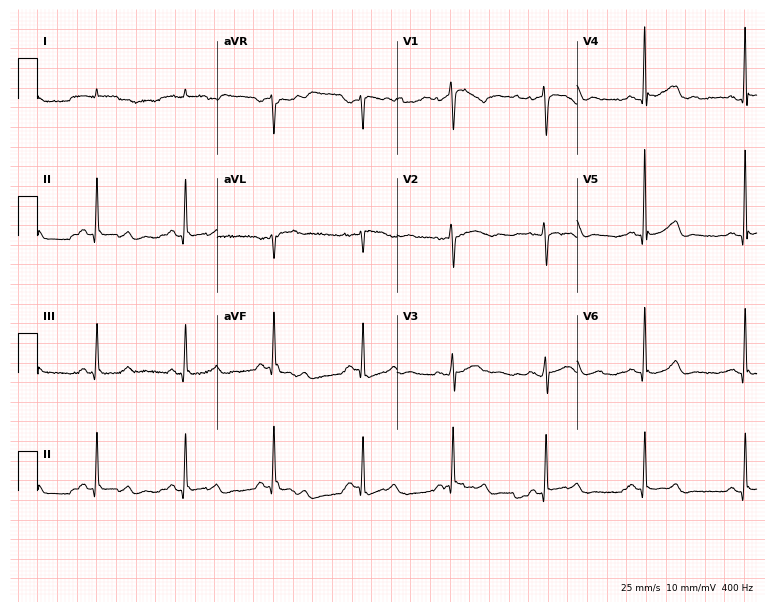
Electrocardiogram, a female patient, 75 years old. Of the six screened findings (first-degree AV block, right bundle branch block, left bundle branch block, sinus bradycardia, atrial fibrillation, sinus tachycardia), none is recorded.